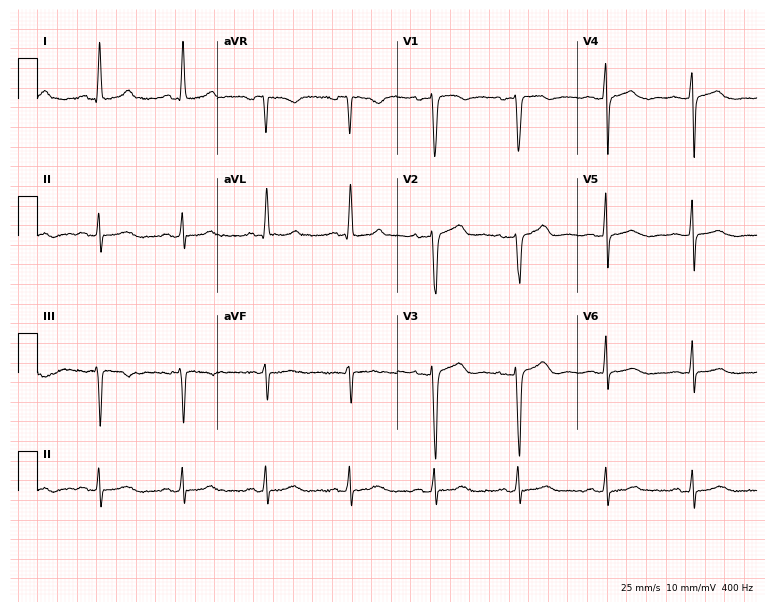
12-lead ECG from a female patient, 47 years old. Labelled as a normal ECG.